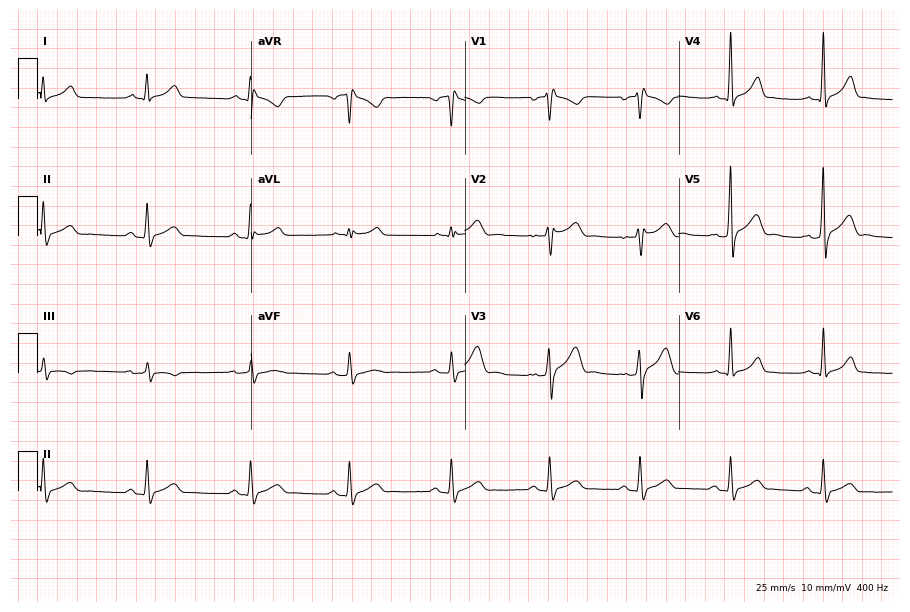
ECG — a 28-year-old man. Screened for six findings — first-degree AV block, right bundle branch block (RBBB), left bundle branch block (LBBB), sinus bradycardia, atrial fibrillation (AF), sinus tachycardia — none is recorded.